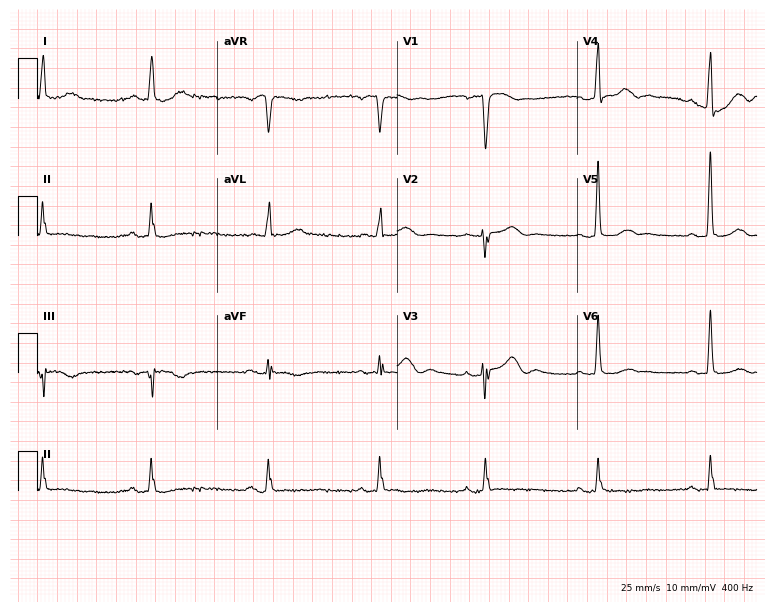
12-lead ECG from a female, 81 years old. Screened for six findings — first-degree AV block, right bundle branch block (RBBB), left bundle branch block (LBBB), sinus bradycardia, atrial fibrillation (AF), sinus tachycardia — none is recorded.